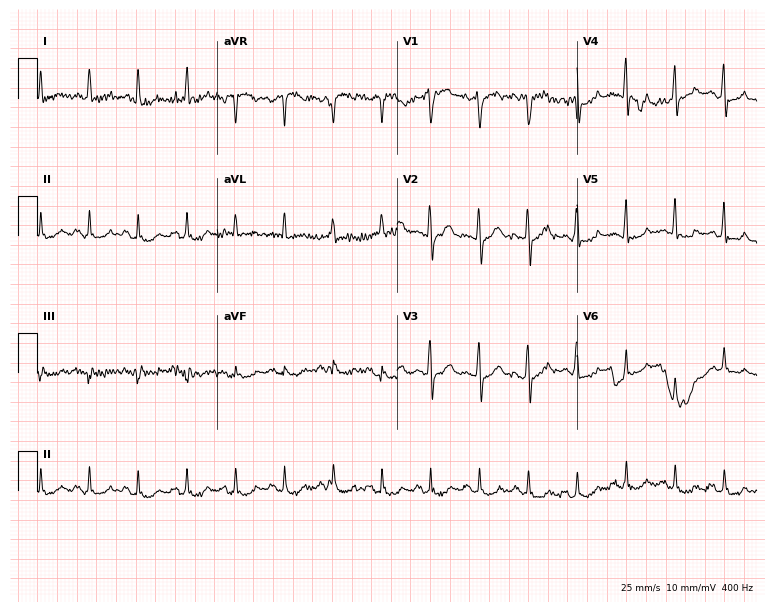
Electrocardiogram, a male, 47 years old. Interpretation includes sinus tachycardia (a sinus rate of 100 beats per minute or more).